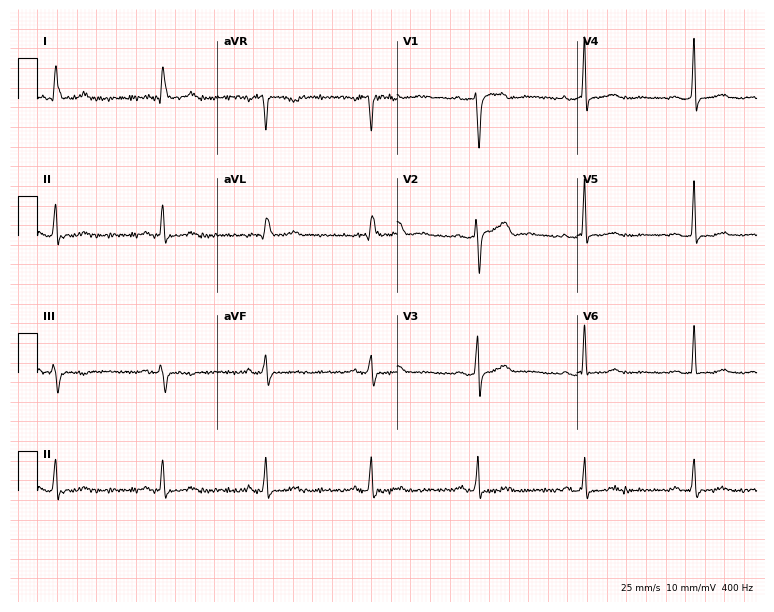
Electrocardiogram (7.3-second recording at 400 Hz), a 47-year-old female patient. Of the six screened findings (first-degree AV block, right bundle branch block, left bundle branch block, sinus bradycardia, atrial fibrillation, sinus tachycardia), none is recorded. Findings outside these six are not listed.